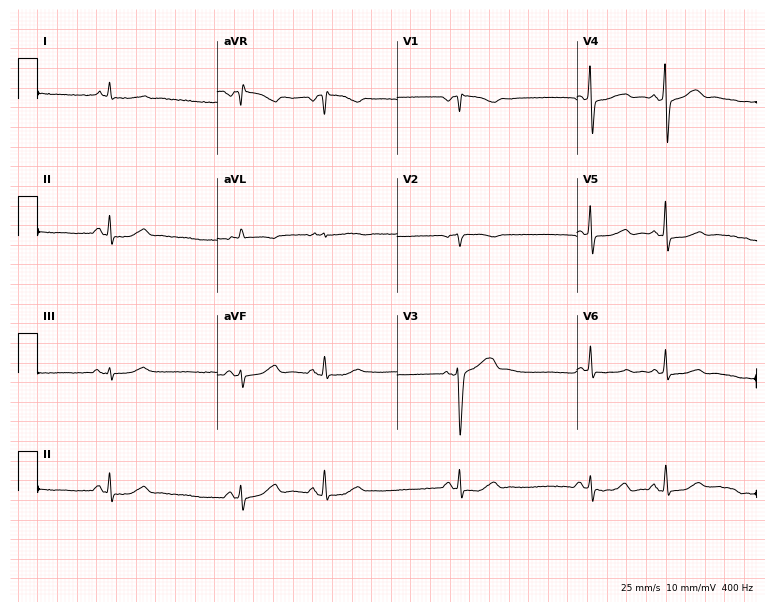
12-lead ECG (7.3-second recording at 400 Hz) from a male, 72 years old. Screened for six findings — first-degree AV block, right bundle branch block, left bundle branch block, sinus bradycardia, atrial fibrillation, sinus tachycardia — none is recorded. Only these six findings were labelled.